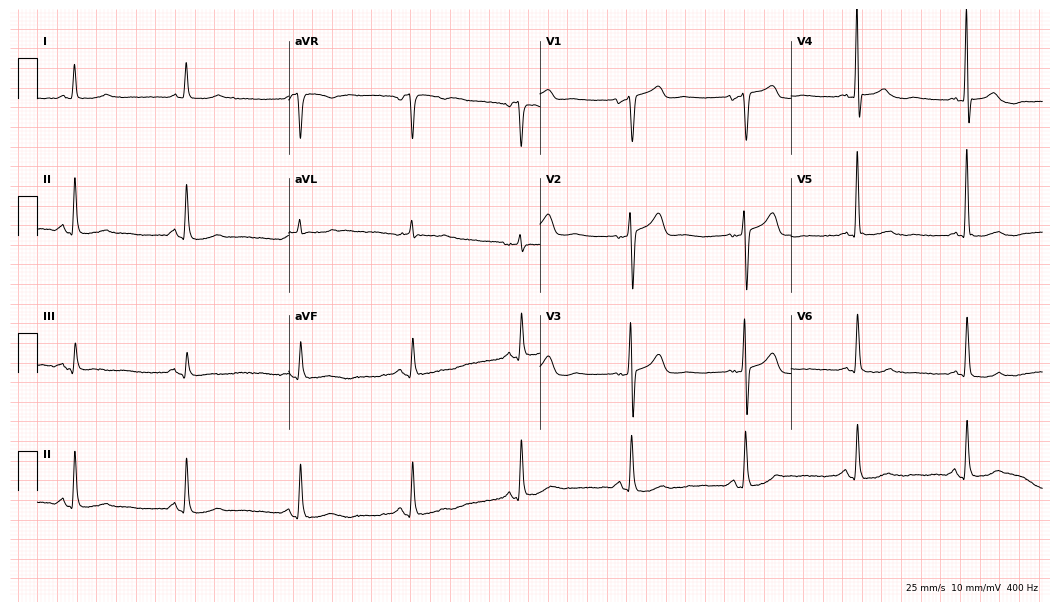
12-lead ECG (10.2-second recording at 400 Hz) from a male, 80 years old. Labelled as a normal ECG.